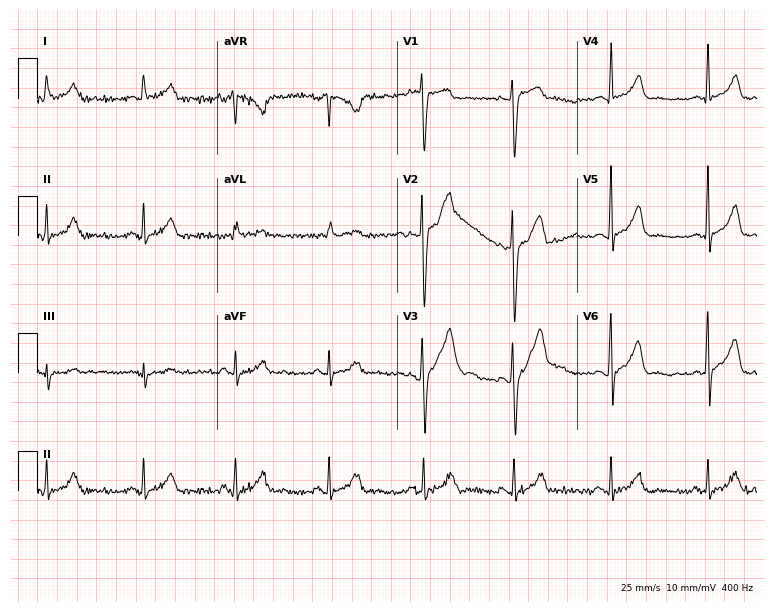
Resting 12-lead electrocardiogram (7.3-second recording at 400 Hz). Patient: a 32-year-old man. None of these six findings is recorded: first-degree AV block, right bundle branch block, left bundle branch block, sinus bradycardia, atrial fibrillation, sinus tachycardia.